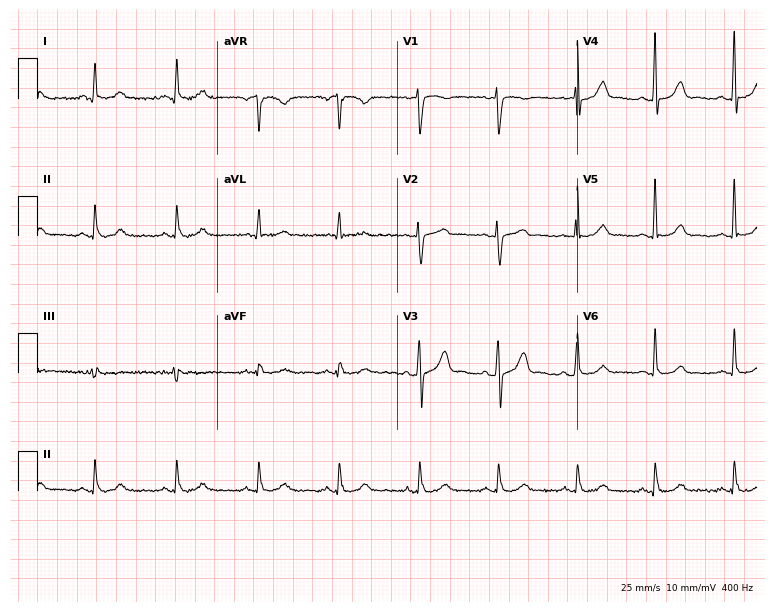
12-lead ECG from a man, 71 years old (7.3-second recording at 400 Hz). Recorded interpretation: within normal limits.